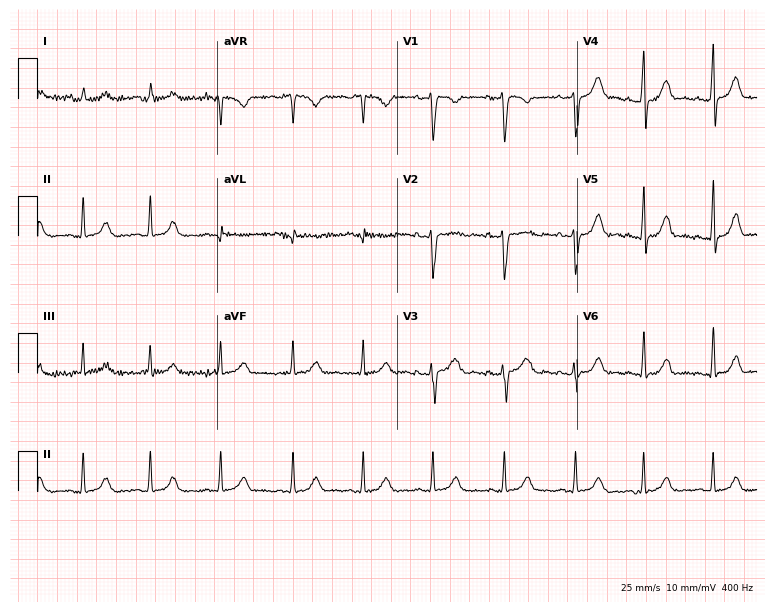
12-lead ECG (7.3-second recording at 400 Hz) from a 19-year-old female. Screened for six findings — first-degree AV block, right bundle branch block, left bundle branch block, sinus bradycardia, atrial fibrillation, sinus tachycardia — none is recorded. Only these six findings were labelled.